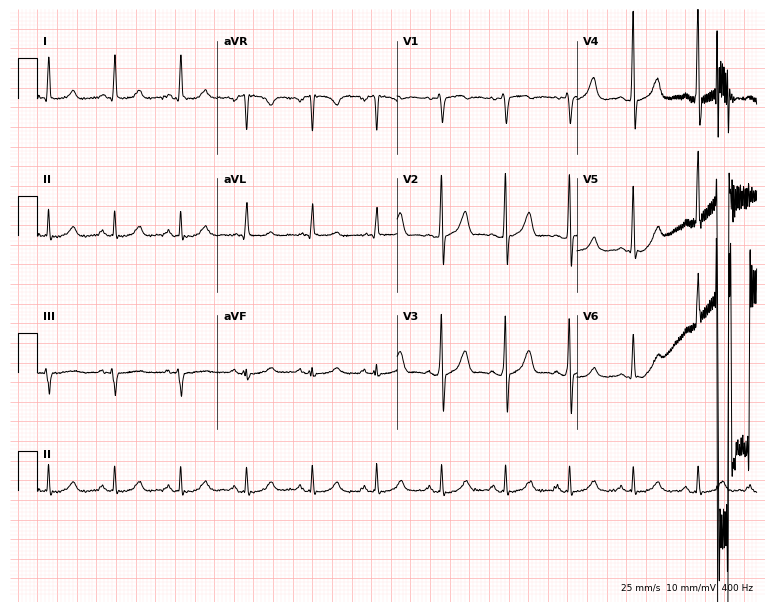
Standard 12-lead ECG recorded from a male patient, 63 years old. None of these six findings is recorded: first-degree AV block, right bundle branch block, left bundle branch block, sinus bradycardia, atrial fibrillation, sinus tachycardia.